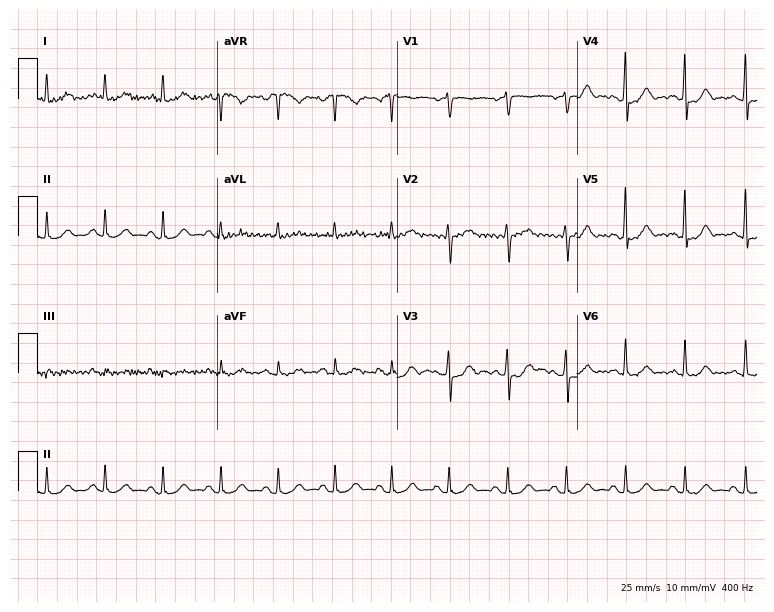
ECG — a 67-year-old female. Labelled as a normal ECG.